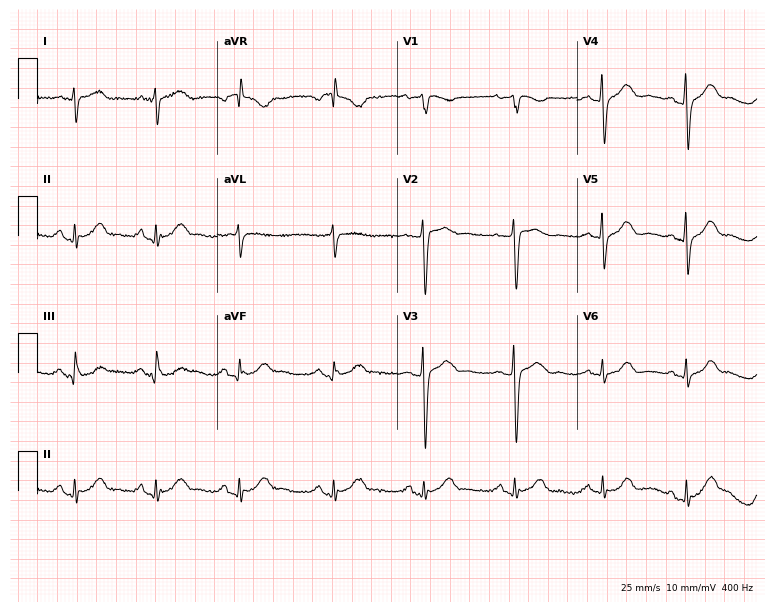
Electrocardiogram, a 66-year-old female. Of the six screened findings (first-degree AV block, right bundle branch block, left bundle branch block, sinus bradycardia, atrial fibrillation, sinus tachycardia), none is recorded. Other findings, if any, are not listed.